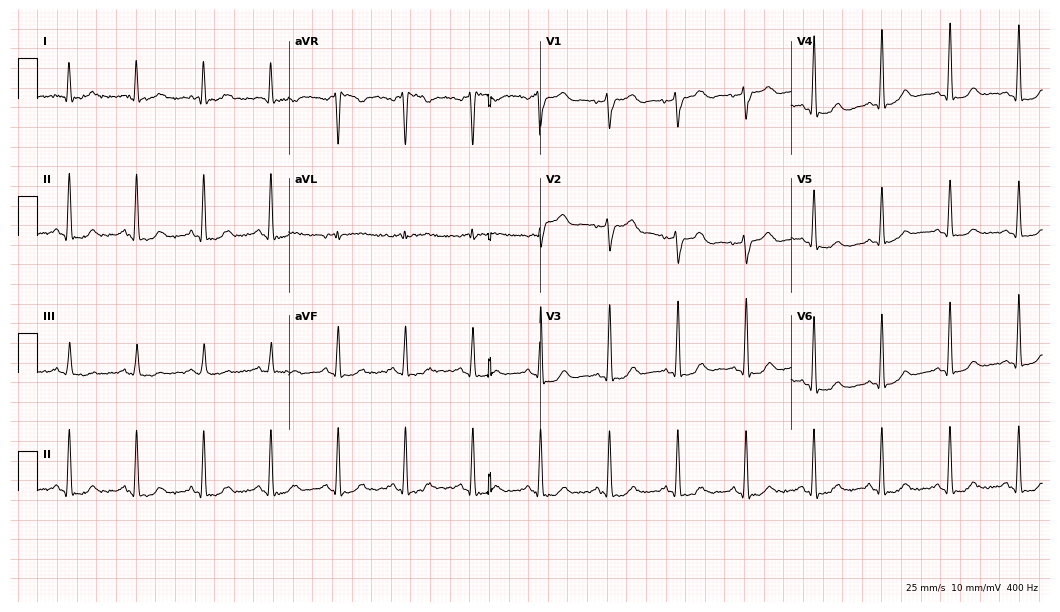
12-lead ECG (10.2-second recording at 400 Hz) from a woman, 85 years old. Screened for six findings — first-degree AV block, right bundle branch block, left bundle branch block, sinus bradycardia, atrial fibrillation, sinus tachycardia — none is recorded. Findings outside these six are not listed.